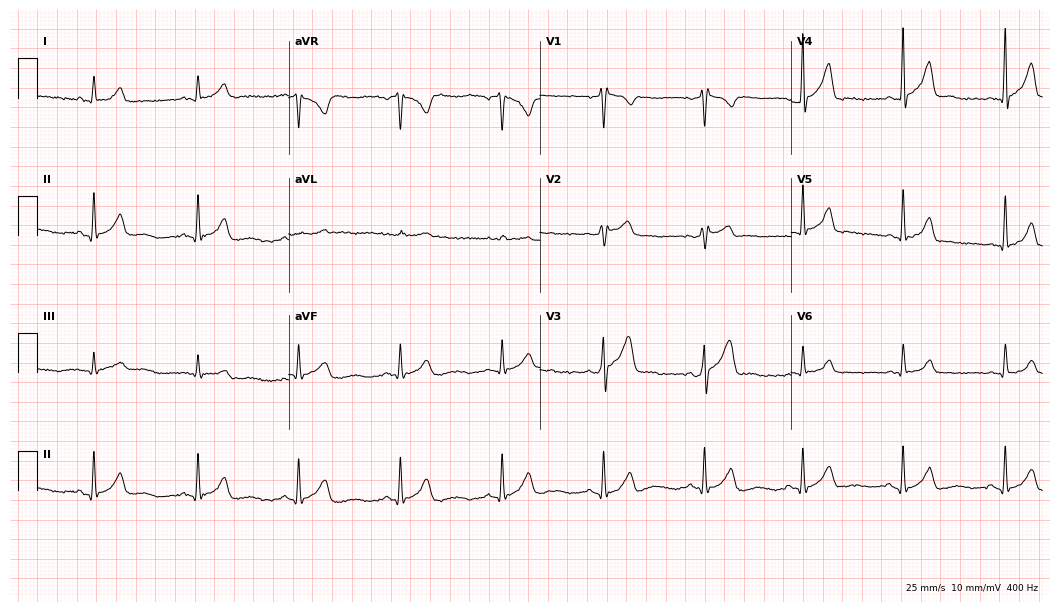
12-lead ECG from a male, 34 years old (10.2-second recording at 400 Hz). Recorded interpretation: within normal limits.